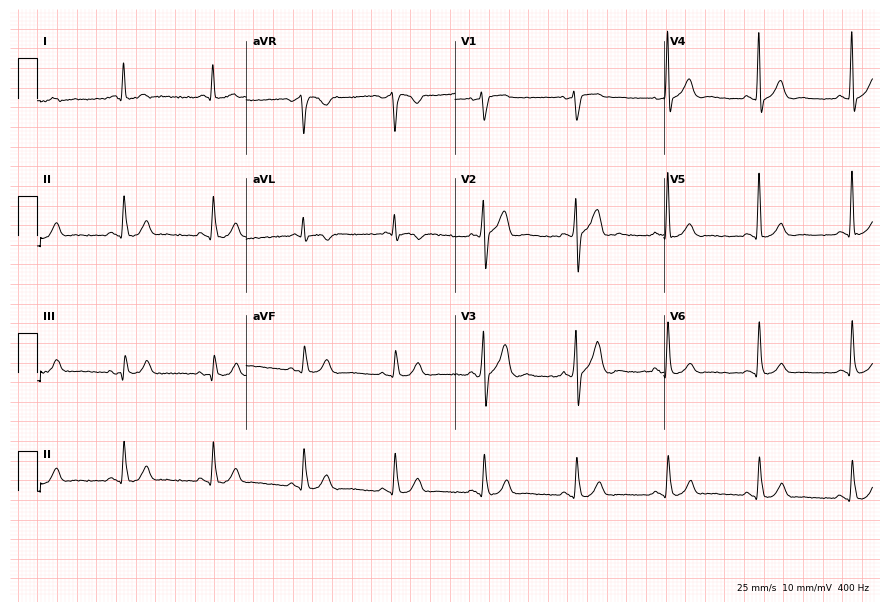
12-lead ECG from a 59-year-old man (8.5-second recording at 400 Hz). Recorded interpretation: within normal limits.